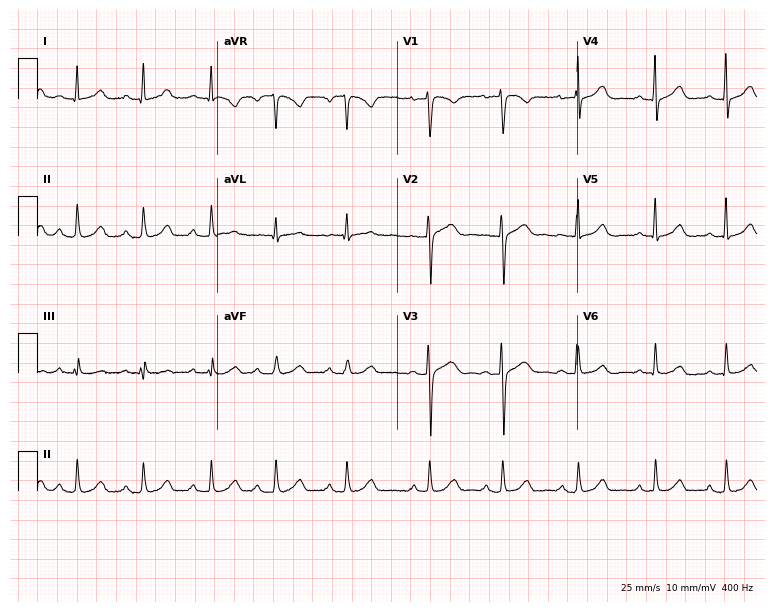
ECG — a 46-year-old woman. Labelled as a normal ECG.